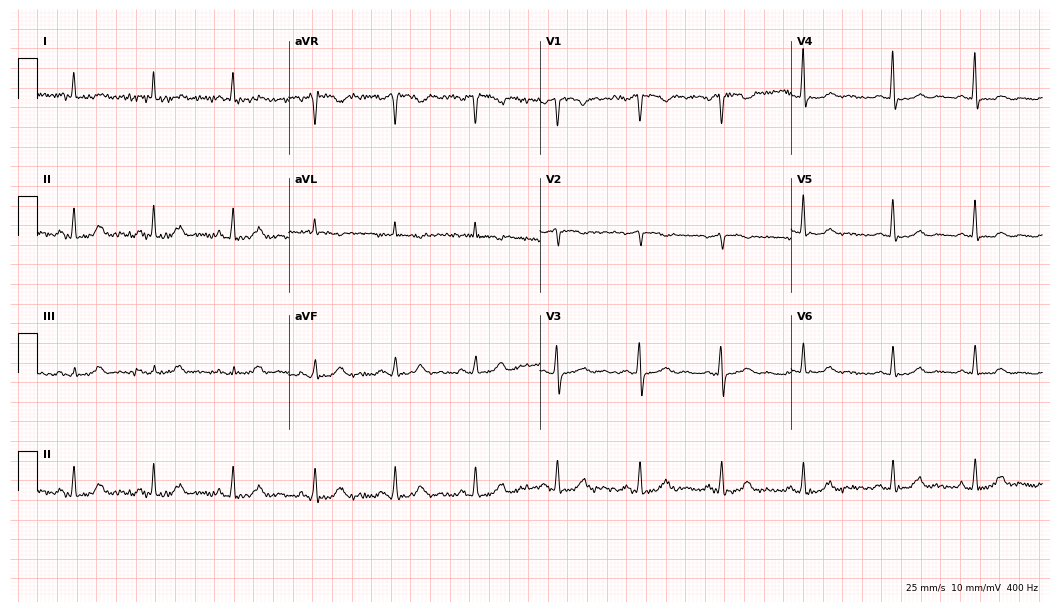
12-lead ECG (10.2-second recording at 400 Hz) from a 54-year-old female patient. Screened for six findings — first-degree AV block, right bundle branch block (RBBB), left bundle branch block (LBBB), sinus bradycardia, atrial fibrillation (AF), sinus tachycardia — none is recorded.